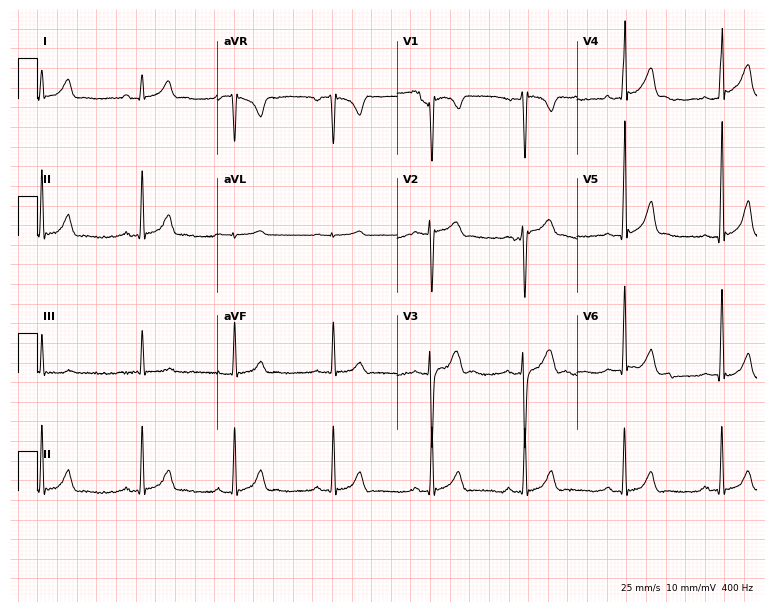
12-lead ECG (7.3-second recording at 400 Hz) from a male patient, 23 years old. Screened for six findings — first-degree AV block, right bundle branch block, left bundle branch block, sinus bradycardia, atrial fibrillation, sinus tachycardia — none is recorded. Other findings, if any, are not listed.